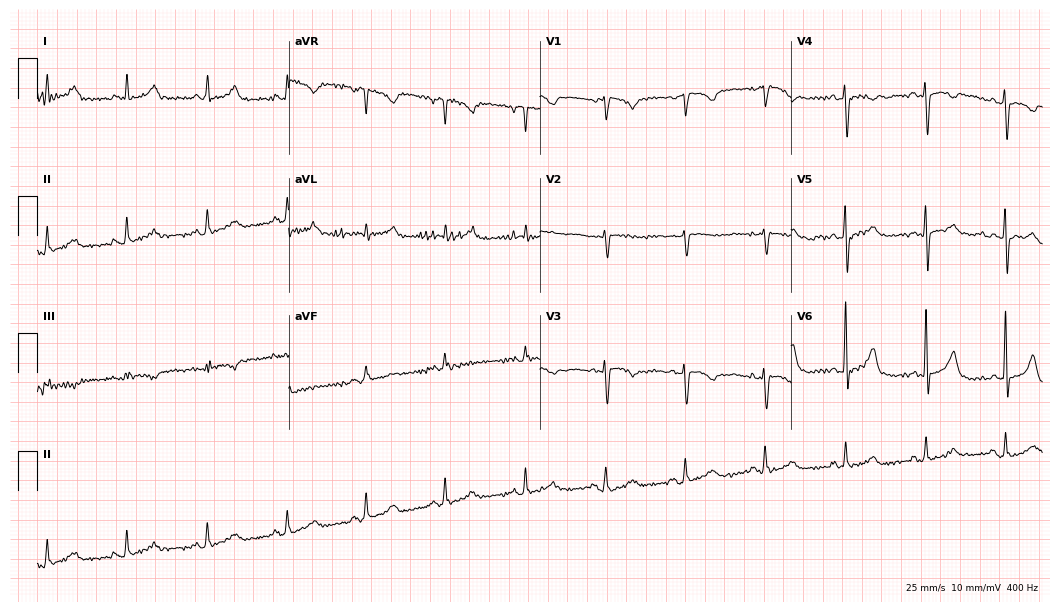
Standard 12-lead ECG recorded from a 73-year-old female patient (10.2-second recording at 400 Hz). None of these six findings is recorded: first-degree AV block, right bundle branch block, left bundle branch block, sinus bradycardia, atrial fibrillation, sinus tachycardia.